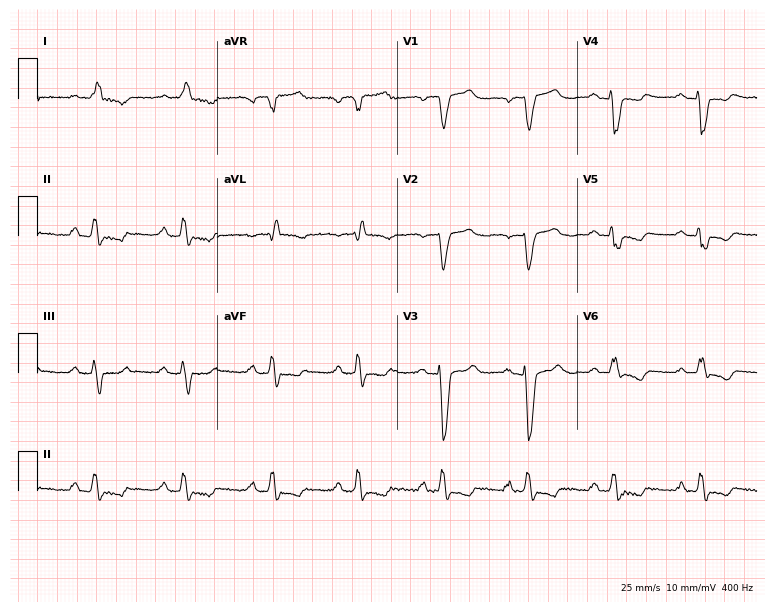
Standard 12-lead ECG recorded from a 73-year-old female patient (7.3-second recording at 400 Hz). The tracing shows left bundle branch block (LBBB).